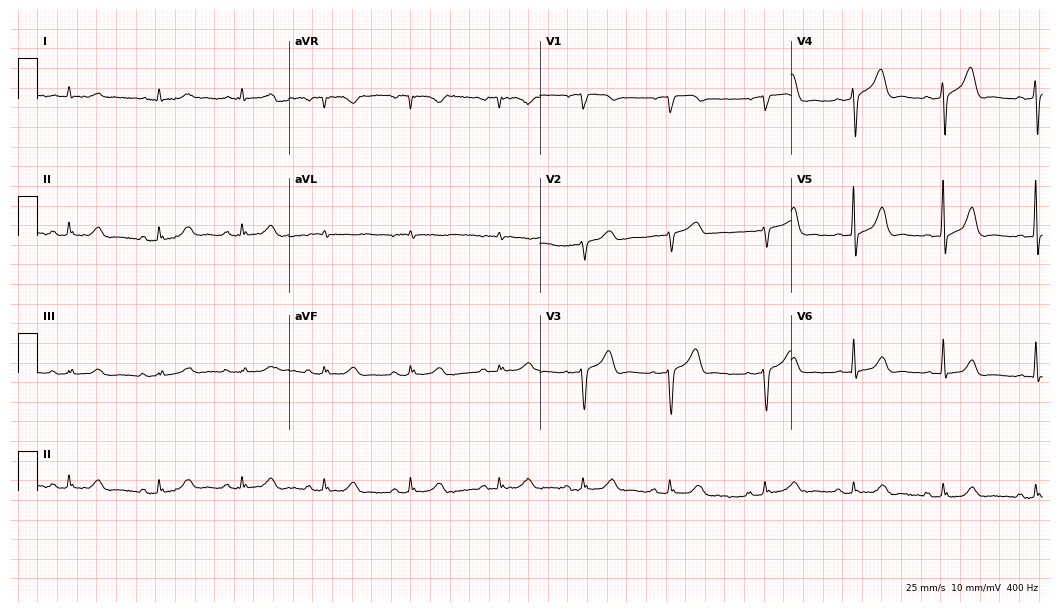
12-lead ECG from a female, 59 years old (10.2-second recording at 400 Hz). No first-degree AV block, right bundle branch block, left bundle branch block, sinus bradycardia, atrial fibrillation or sinus tachycardia recorded for this tracing. Other findings, if any, are not listed.